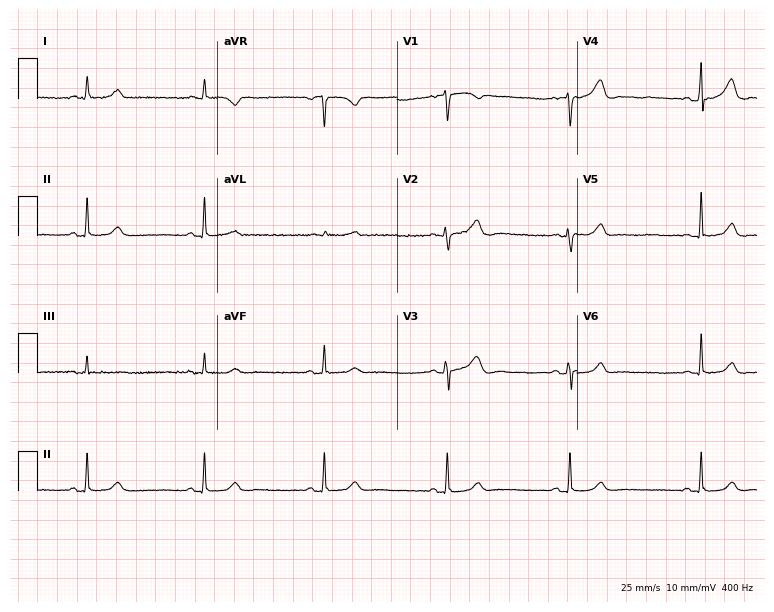
Resting 12-lead electrocardiogram. Patient: a 24-year-old female. The tracing shows sinus bradycardia (a sinus rate of 50 beats per minute or less).